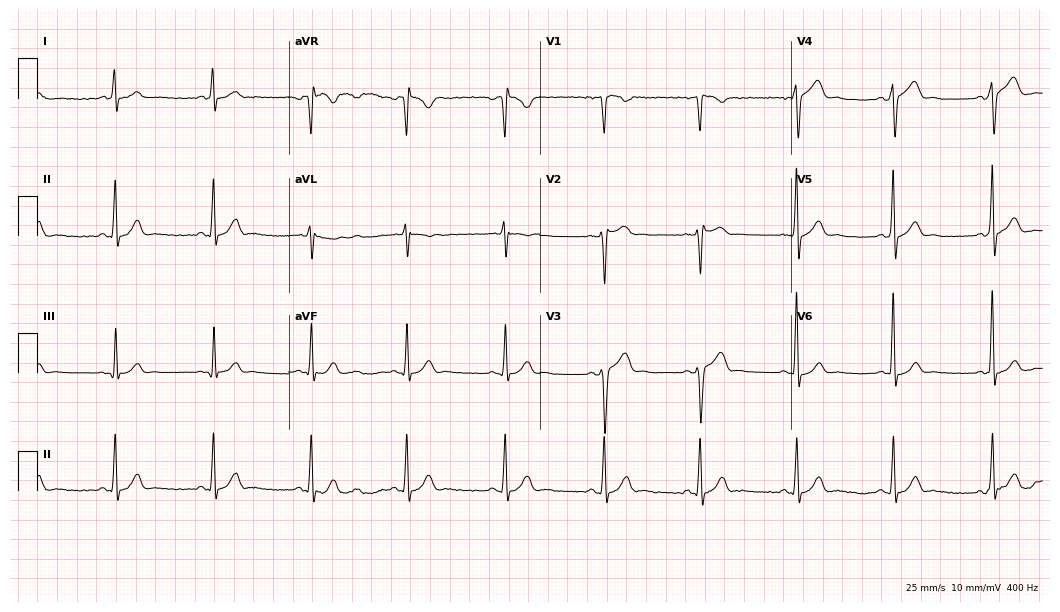
Resting 12-lead electrocardiogram (10.2-second recording at 400 Hz). Patient: a male, 32 years old. None of these six findings is recorded: first-degree AV block, right bundle branch block, left bundle branch block, sinus bradycardia, atrial fibrillation, sinus tachycardia.